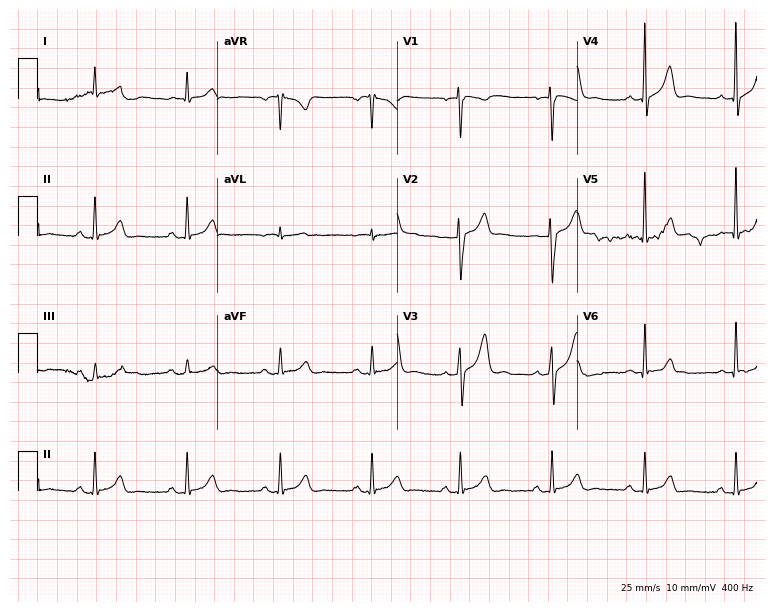
Standard 12-lead ECG recorded from a 57-year-old man. None of these six findings is recorded: first-degree AV block, right bundle branch block, left bundle branch block, sinus bradycardia, atrial fibrillation, sinus tachycardia. Other findings, if any, are not listed.